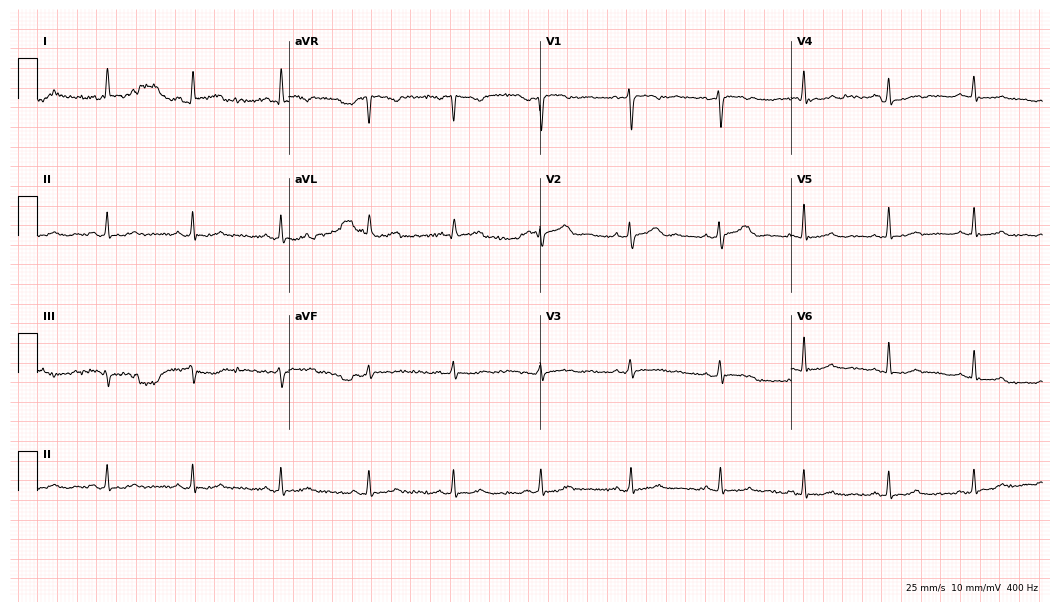
Electrocardiogram (10.2-second recording at 400 Hz), a female, 37 years old. Overall reading on record: normal ECG.